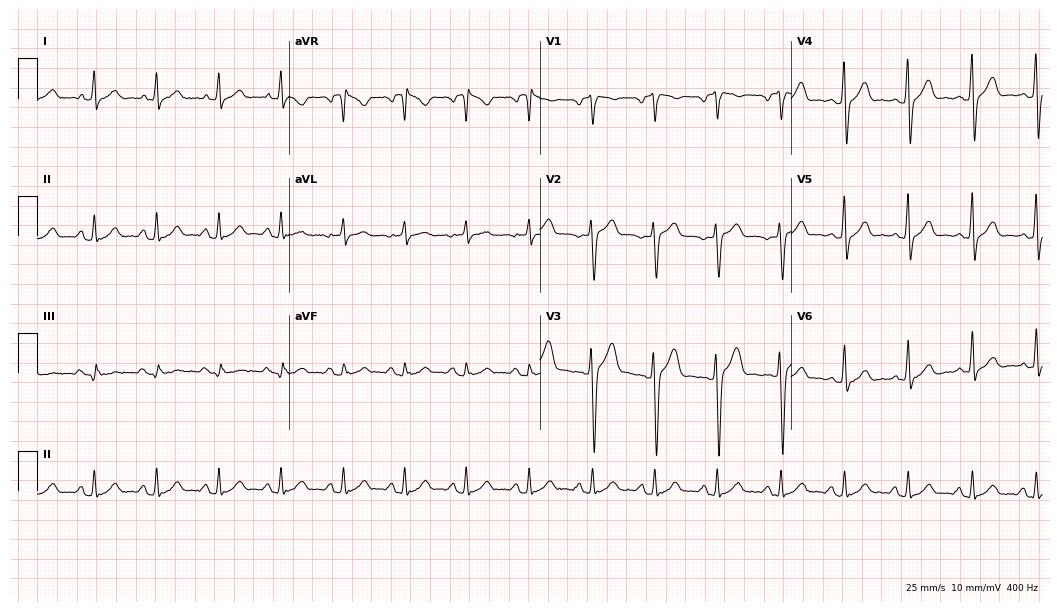
ECG (10.2-second recording at 400 Hz) — a male patient, 29 years old. Labelled as a normal ECG.